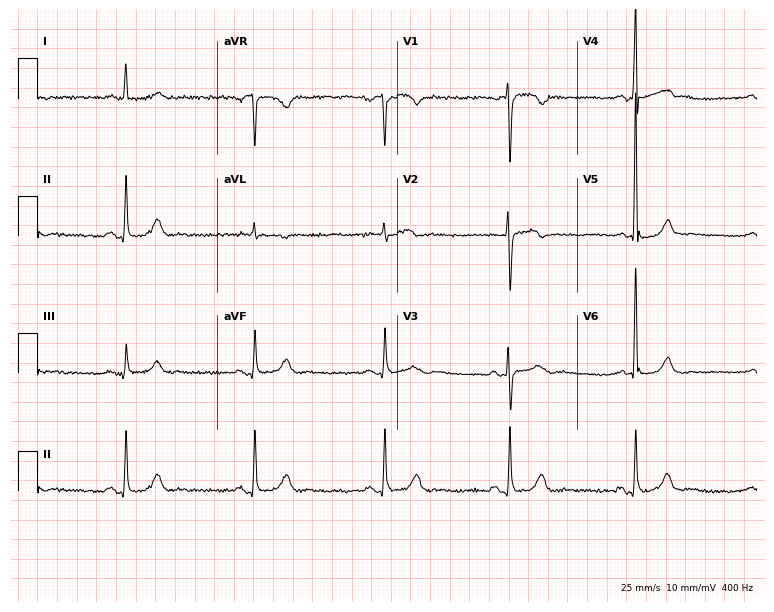
12-lead ECG from a male patient, 68 years old (7.3-second recording at 400 Hz). Shows sinus bradycardia (a sinus rate of 50 beats per minute or less).